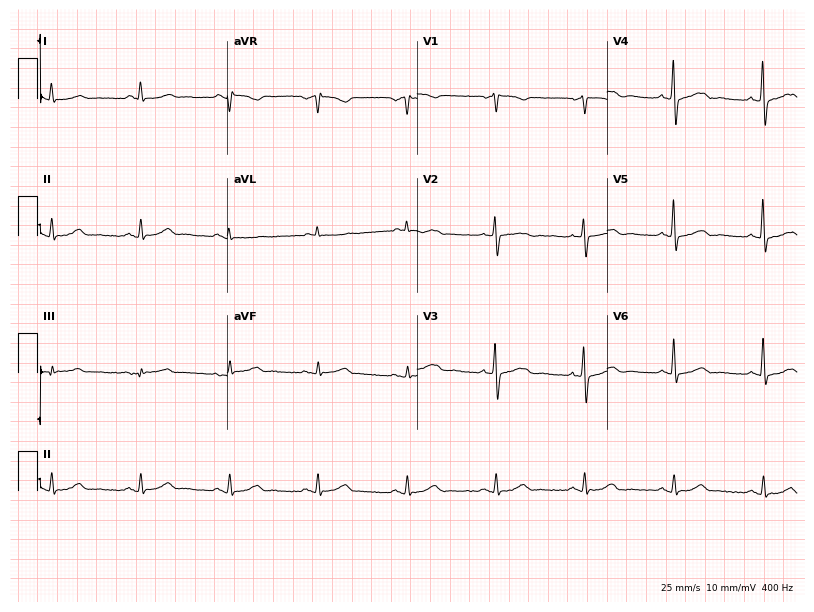
Standard 12-lead ECG recorded from a 67-year-old man (7.7-second recording at 400 Hz). Read as a normal ECG.